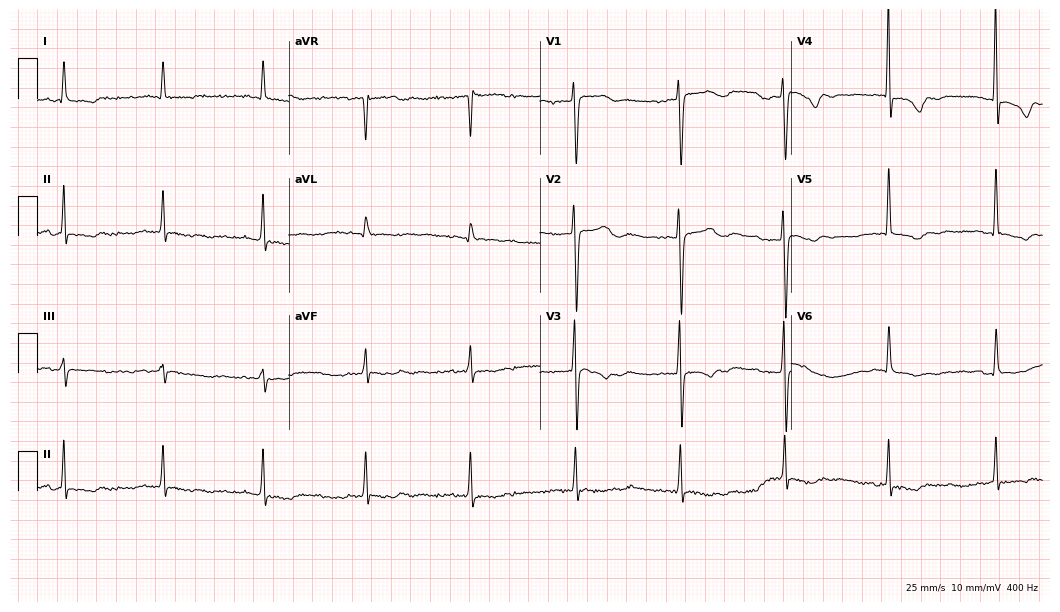
Electrocardiogram, a woman, 76 years old. Of the six screened findings (first-degree AV block, right bundle branch block (RBBB), left bundle branch block (LBBB), sinus bradycardia, atrial fibrillation (AF), sinus tachycardia), none is recorded.